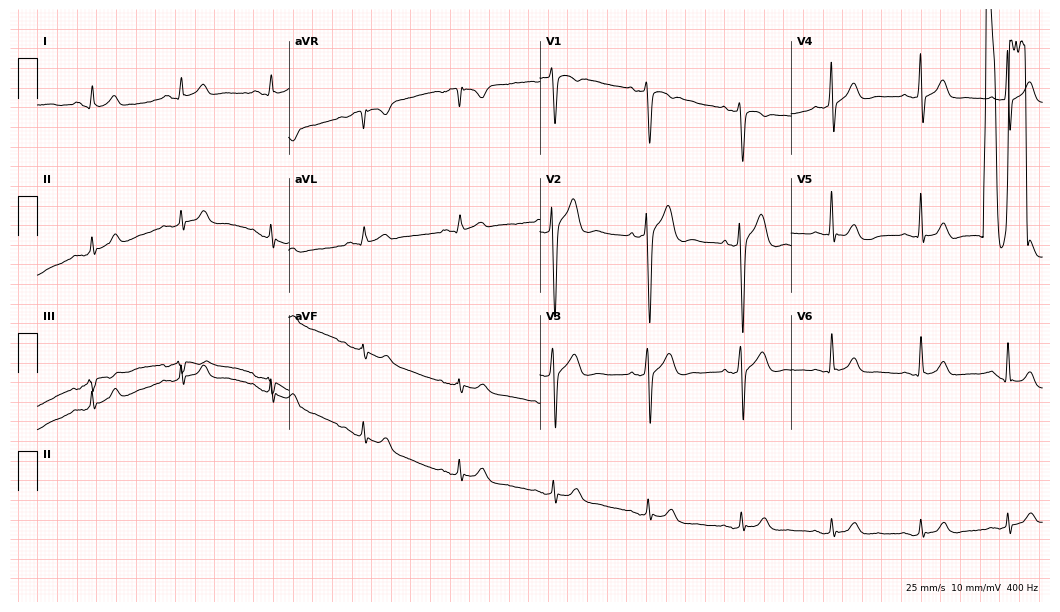
12-lead ECG (10.2-second recording at 400 Hz) from a male, 30 years old. Labelled as a normal ECG.